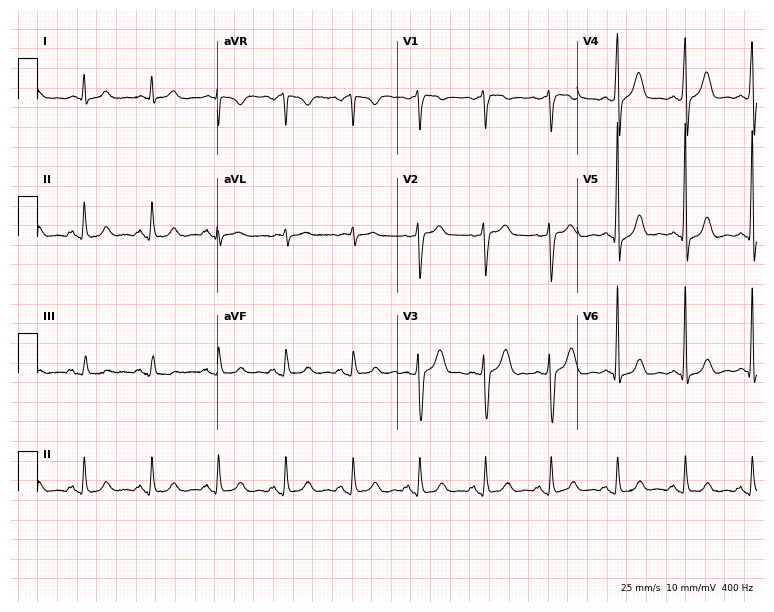
Standard 12-lead ECG recorded from a 54-year-old male (7.3-second recording at 400 Hz). Read as a normal ECG.